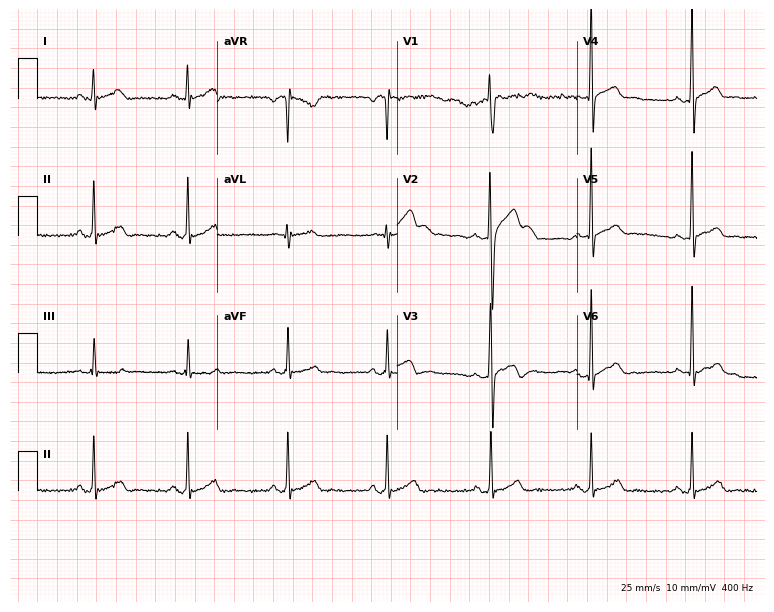
12-lead ECG (7.3-second recording at 400 Hz) from a 19-year-old man. Screened for six findings — first-degree AV block, right bundle branch block, left bundle branch block, sinus bradycardia, atrial fibrillation, sinus tachycardia — none is recorded.